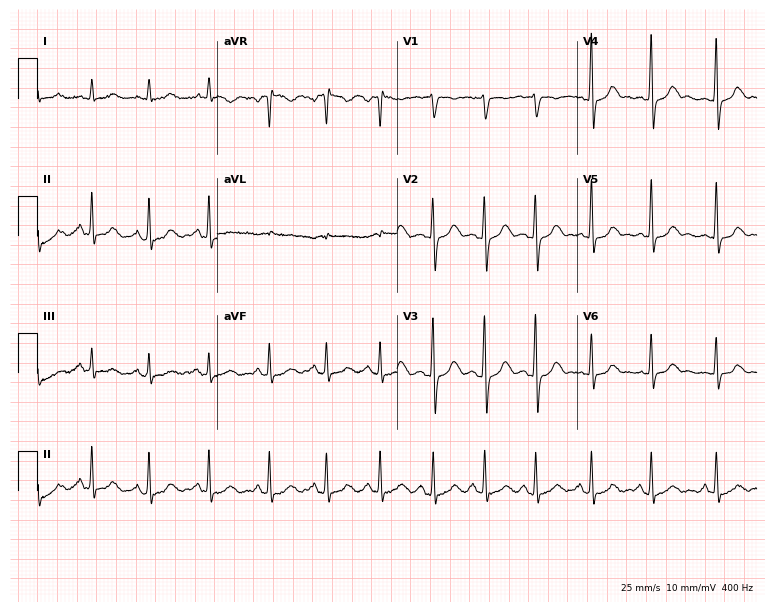
Standard 12-lead ECG recorded from a 33-year-old female. The tracing shows sinus tachycardia (a sinus rate of 100 beats per minute or more).